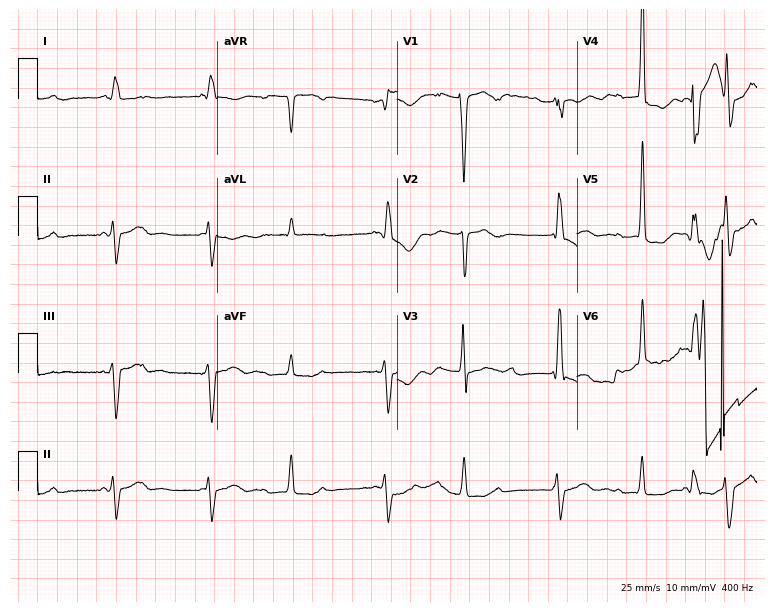
ECG (7.3-second recording at 400 Hz) — a male patient, 71 years old. Findings include atrial fibrillation (AF).